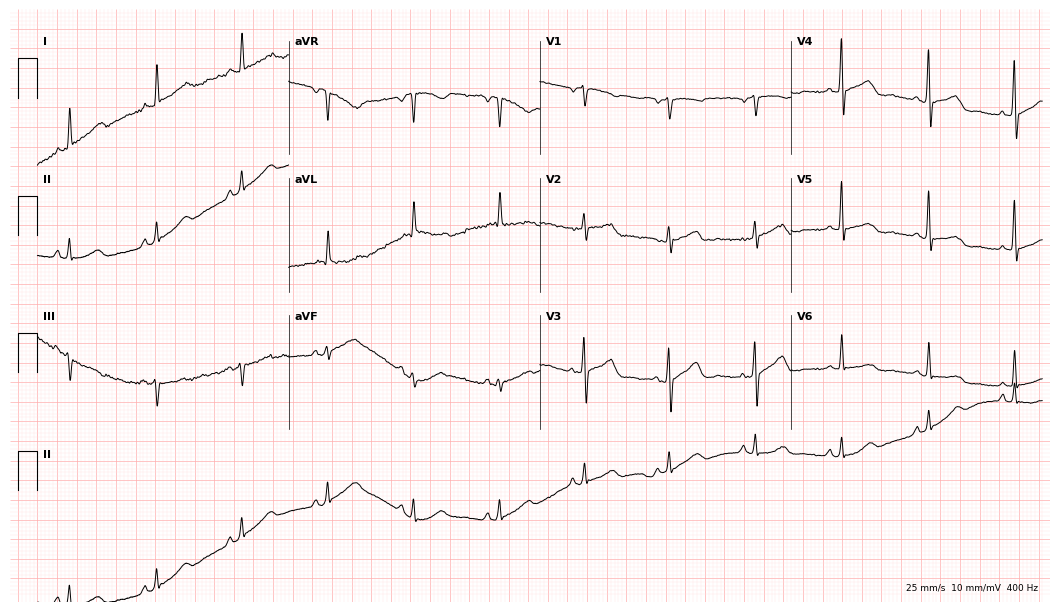
ECG — a female, 60 years old. Labelled as a normal ECG.